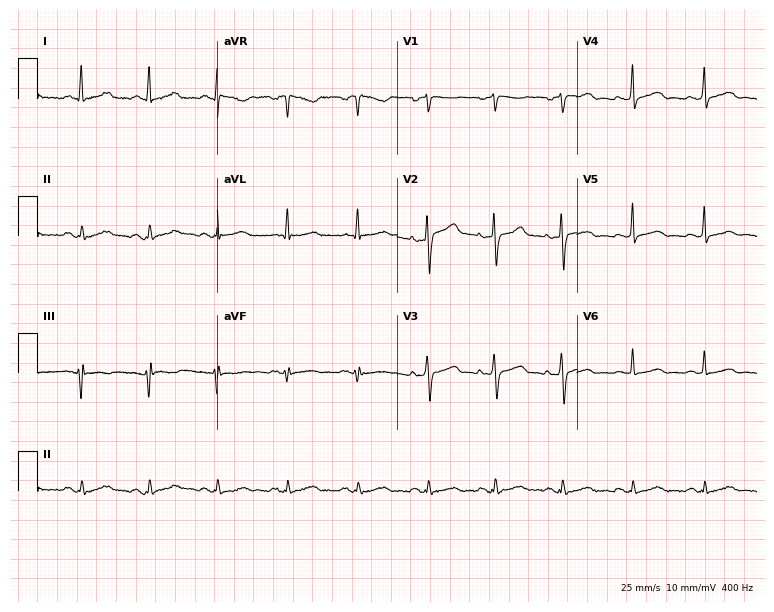
Electrocardiogram, a man, 61 years old. Of the six screened findings (first-degree AV block, right bundle branch block (RBBB), left bundle branch block (LBBB), sinus bradycardia, atrial fibrillation (AF), sinus tachycardia), none is recorded.